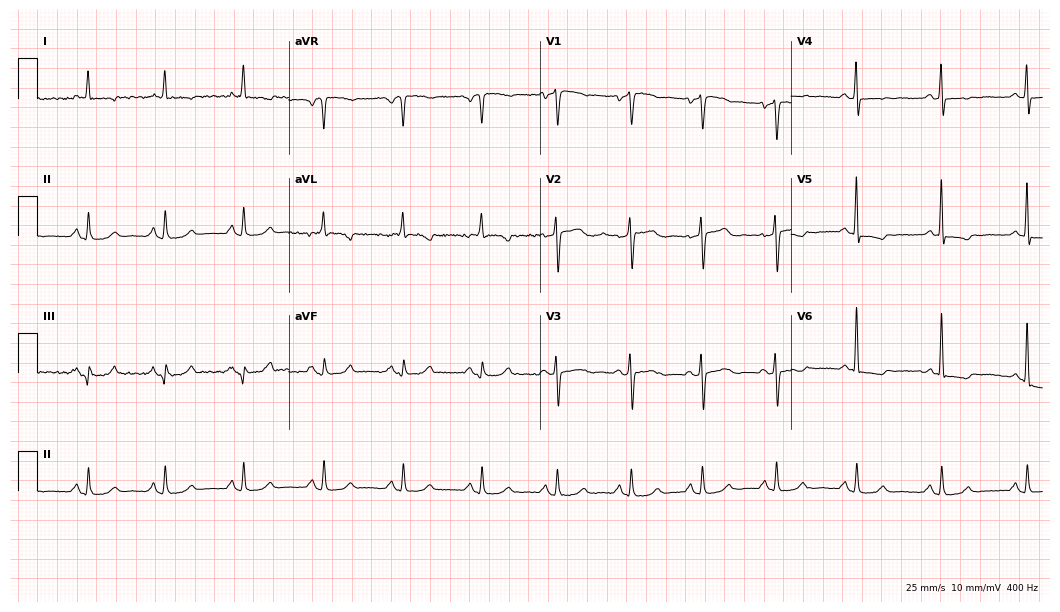
Electrocardiogram, a 62-year-old female patient. Of the six screened findings (first-degree AV block, right bundle branch block (RBBB), left bundle branch block (LBBB), sinus bradycardia, atrial fibrillation (AF), sinus tachycardia), none is recorded. Findings outside these six are not listed.